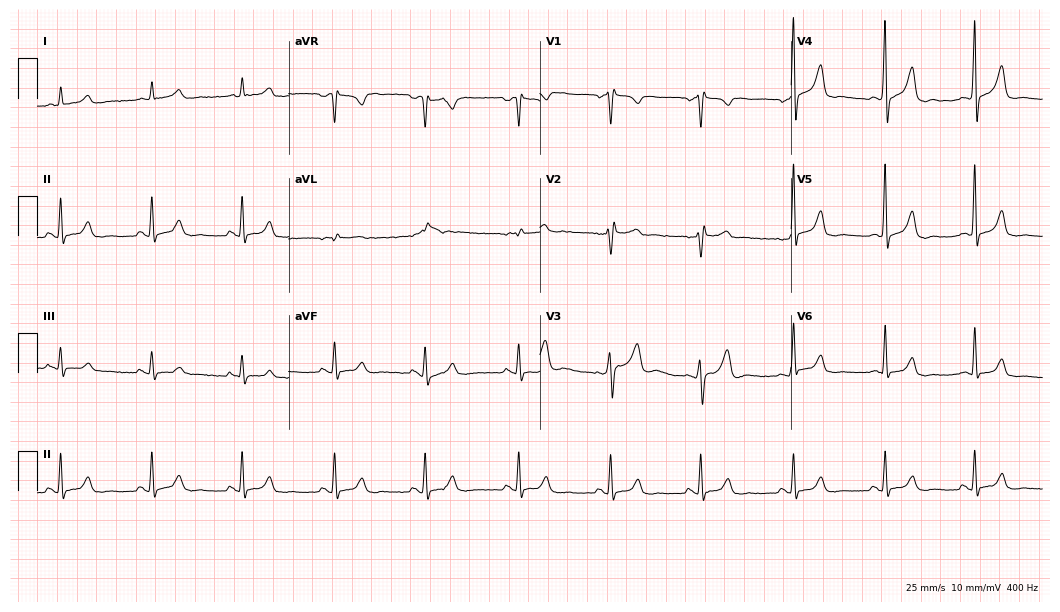
12-lead ECG from a male patient, 46 years old. Screened for six findings — first-degree AV block, right bundle branch block (RBBB), left bundle branch block (LBBB), sinus bradycardia, atrial fibrillation (AF), sinus tachycardia — none is recorded.